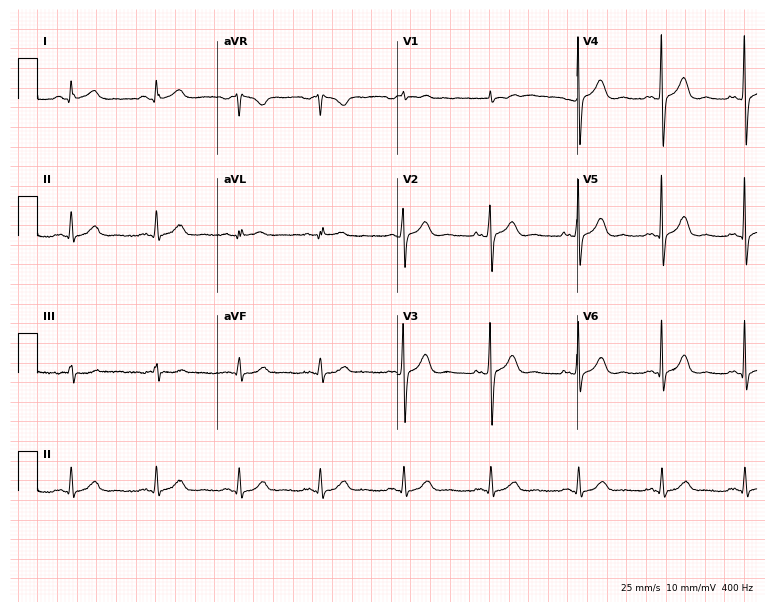
12-lead ECG from a 35-year-old female patient (7.3-second recording at 400 Hz). No first-degree AV block, right bundle branch block (RBBB), left bundle branch block (LBBB), sinus bradycardia, atrial fibrillation (AF) or sinus tachycardia recorded for this tracing. Only these six findings were labelled.